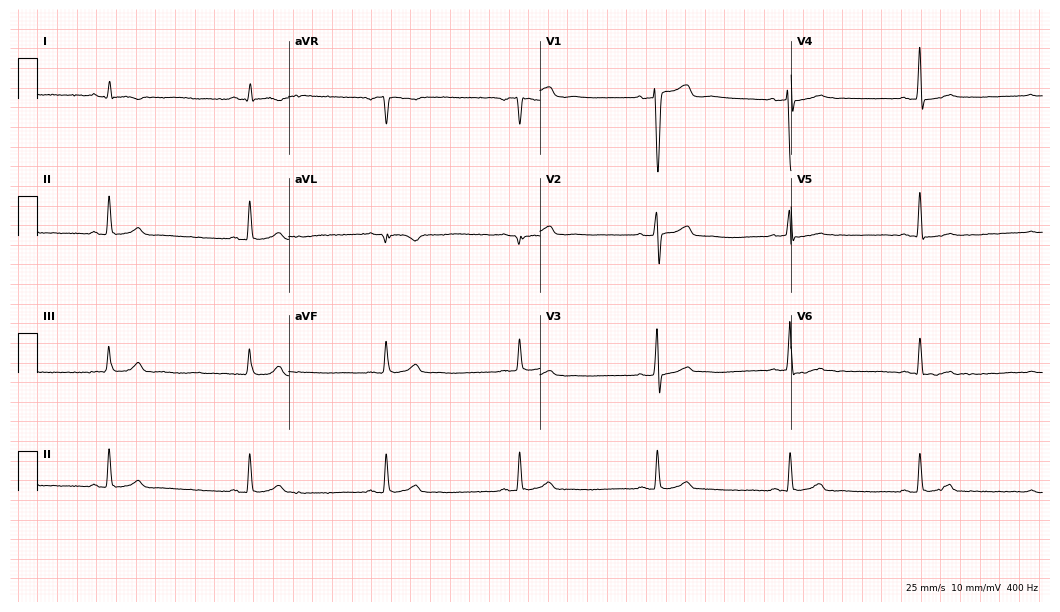
Standard 12-lead ECG recorded from a 51-year-old male patient (10.2-second recording at 400 Hz). The tracing shows sinus bradycardia (a sinus rate of 50 beats per minute or less).